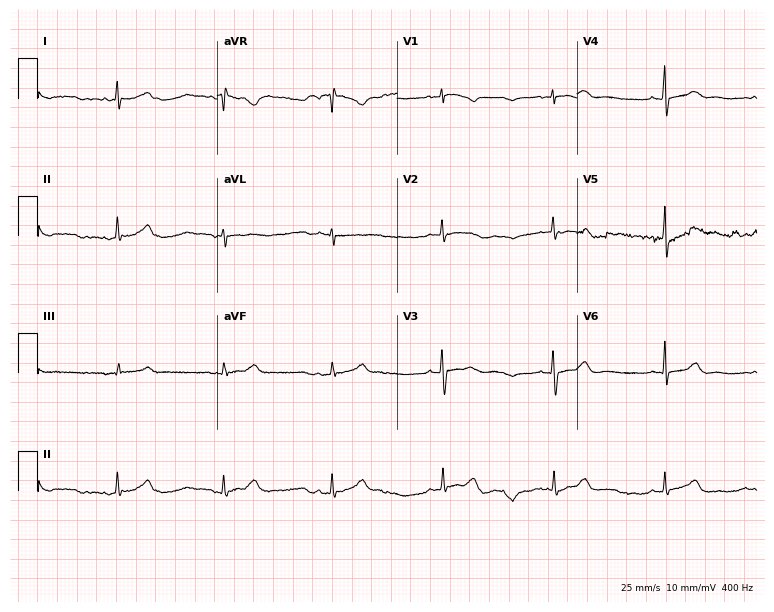
Electrocardiogram, a woman, 22 years old. Overall reading on record: normal ECG.